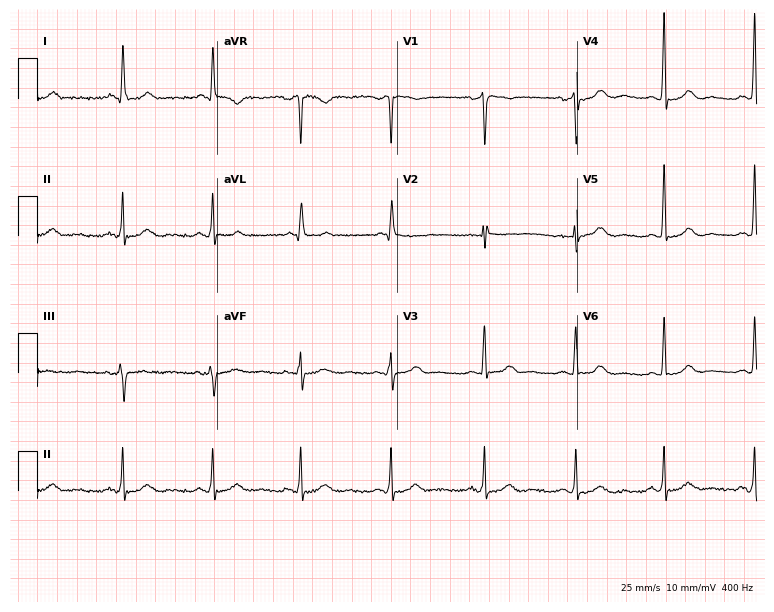
12-lead ECG from a 45-year-old male (7.3-second recording at 400 Hz). Recorded interpretation: within normal limits.